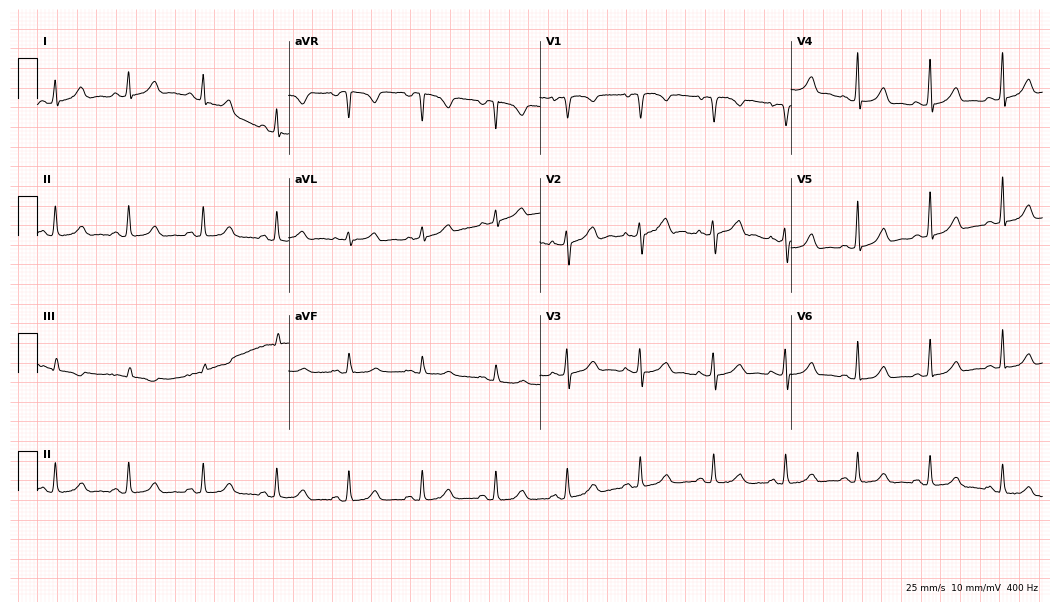
ECG (10.2-second recording at 400 Hz) — a female, 45 years old. Labelled as a normal ECG.